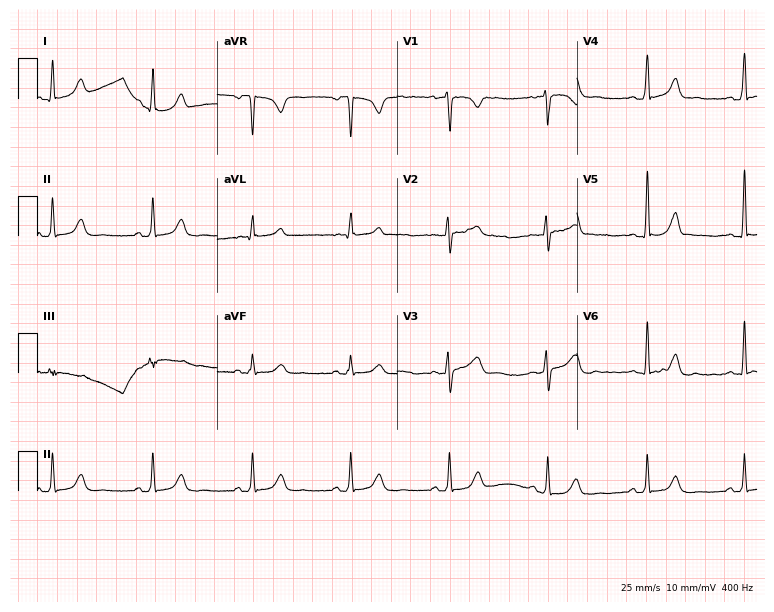
Standard 12-lead ECG recorded from a female, 44 years old (7.3-second recording at 400 Hz). None of these six findings is recorded: first-degree AV block, right bundle branch block, left bundle branch block, sinus bradycardia, atrial fibrillation, sinus tachycardia.